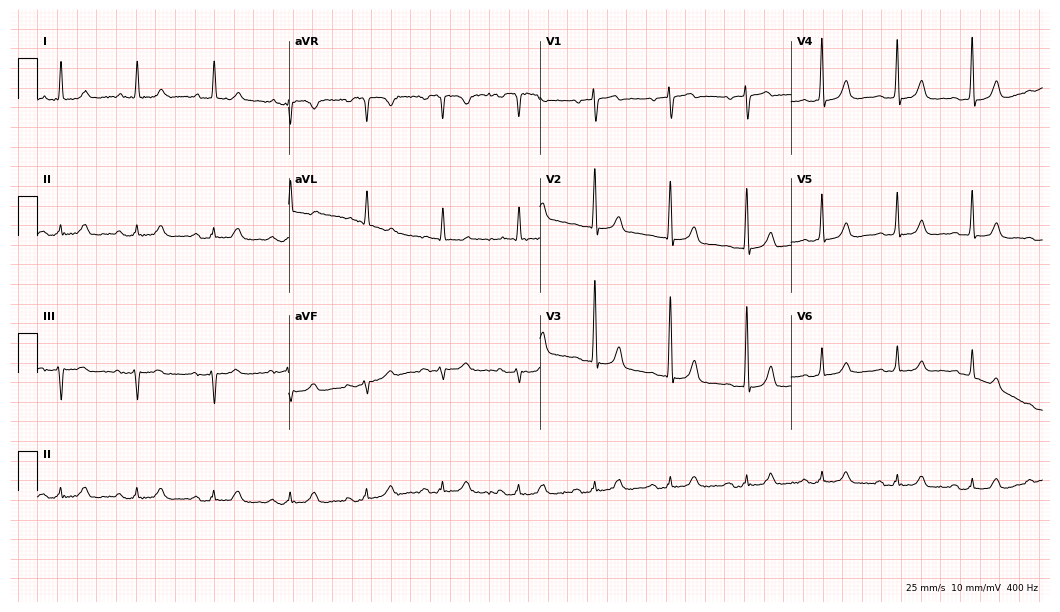
ECG — a female, 77 years old. Labelled as a normal ECG.